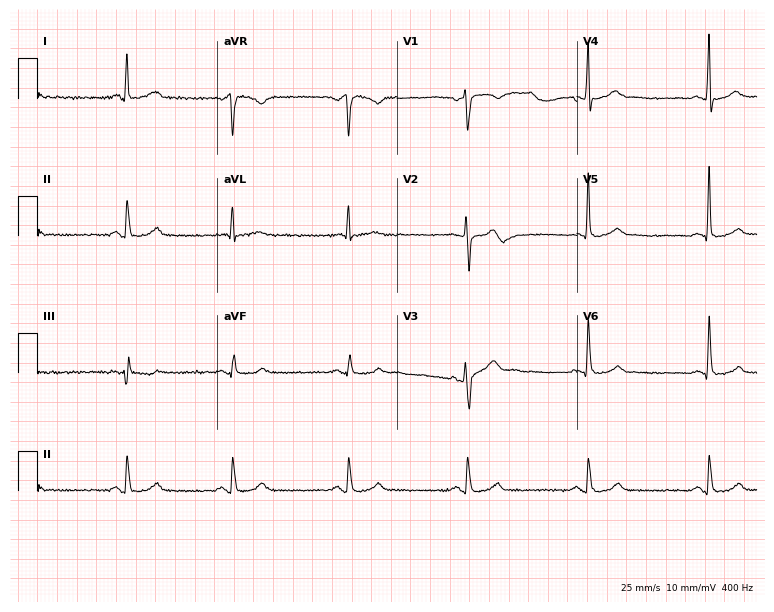
12-lead ECG from a 48-year-old male patient. Shows sinus bradycardia (a sinus rate of 50 beats per minute or less).